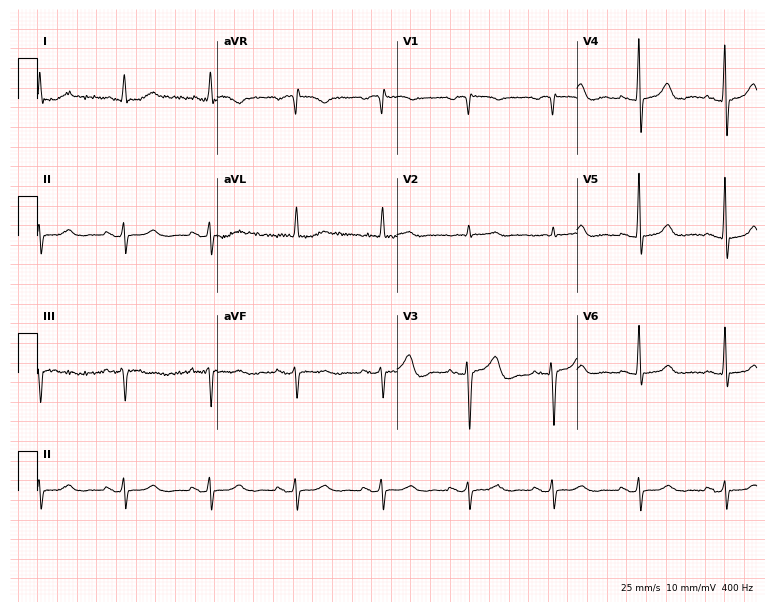
Standard 12-lead ECG recorded from a 68-year-old female (7.3-second recording at 400 Hz). None of these six findings is recorded: first-degree AV block, right bundle branch block (RBBB), left bundle branch block (LBBB), sinus bradycardia, atrial fibrillation (AF), sinus tachycardia.